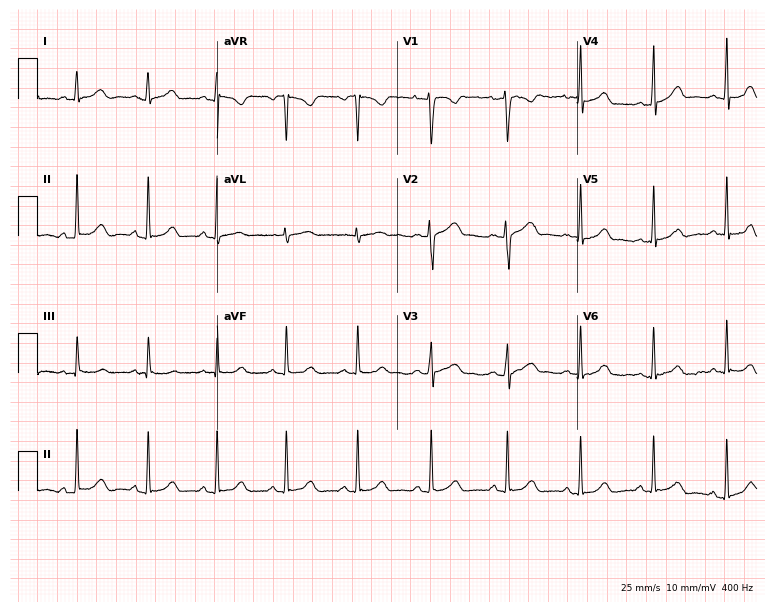
Electrocardiogram (7.3-second recording at 400 Hz), a female, 23 years old. Of the six screened findings (first-degree AV block, right bundle branch block, left bundle branch block, sinus bradycardia, atrial fibrillation, sinus tachycardia), none is recorded. Only these six findings were labelled.